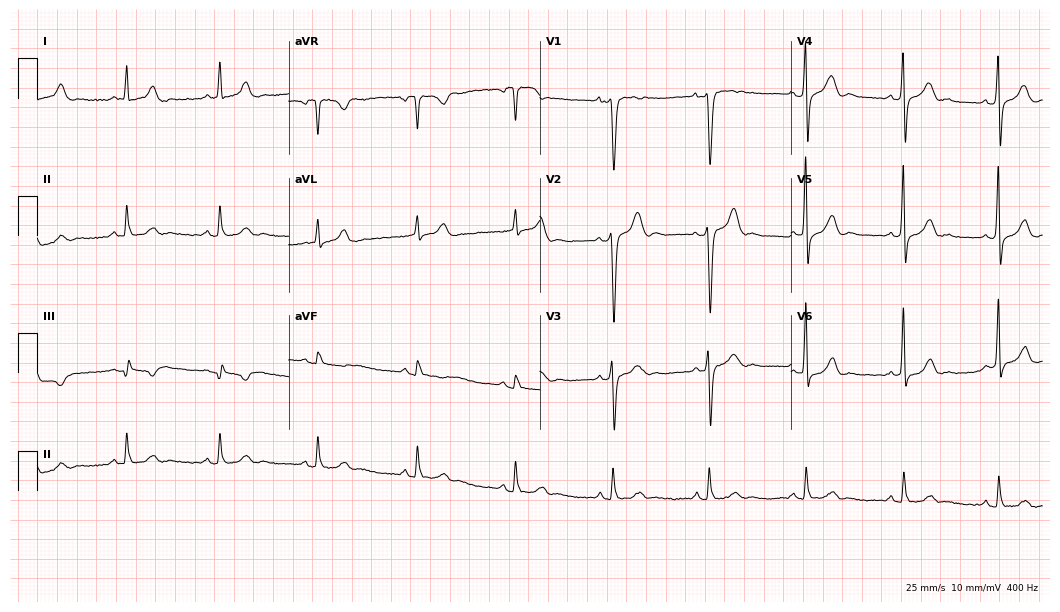
12-lead ECG from a male, 47 years old (10.2-second recording at 400 Hz). Recorded interpretation: within normal limits.